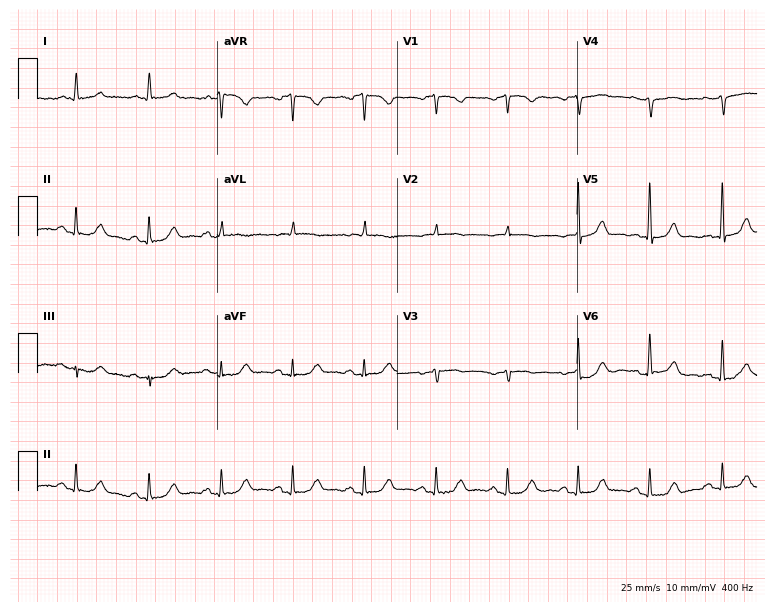
Standard 12-lead ECG recorded from a 70-year-old woman (7.3-second recording at 400 Hz). None of these six findings is recorded: first-degree AV block, right bundle branch block, left bundle branch block, sinus bradycardia, atrial fibrillation, sinus tachycardia. Findings outside these six are not listed.